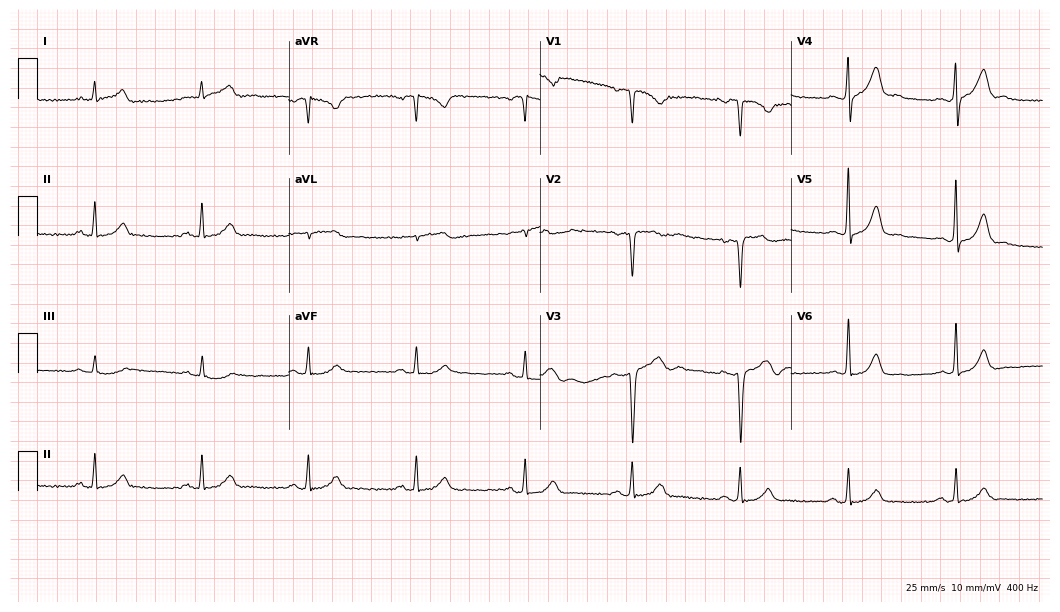
Resting 12-lead electrocardiogram. Patient: a man, 41 years old. Read as a normal ECG.